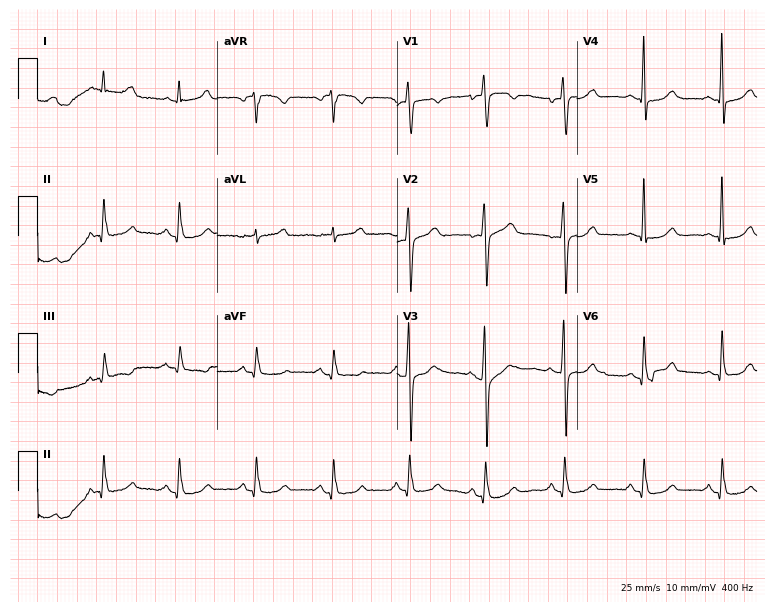
12-lead ECG from a female, 66 years old. Recorded interpretation: within normal limits.